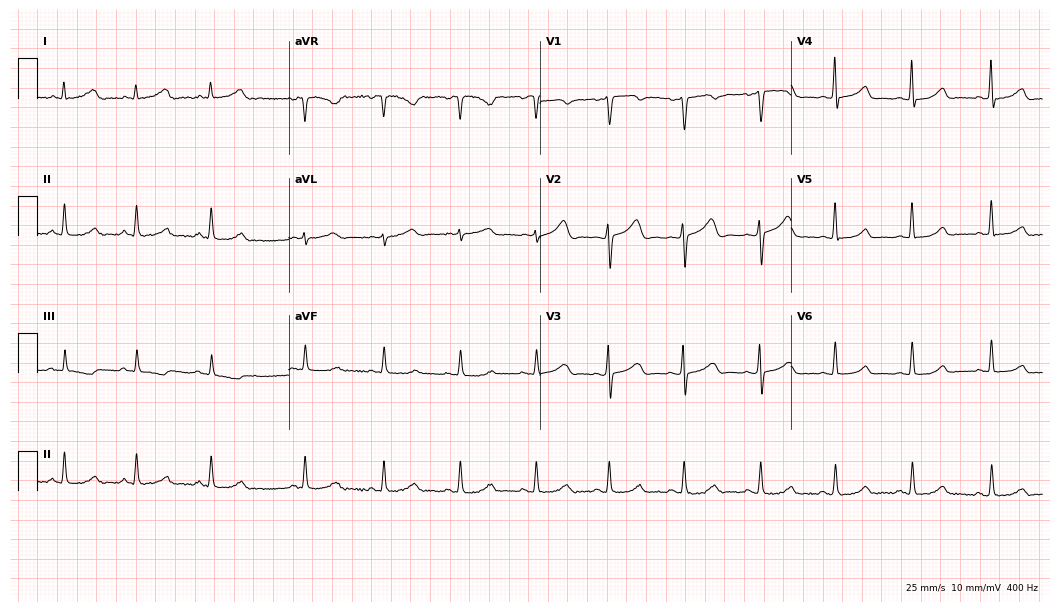
Standard 12-lead ECG recorded from a 40-year-old female. Read as a normal ECG.